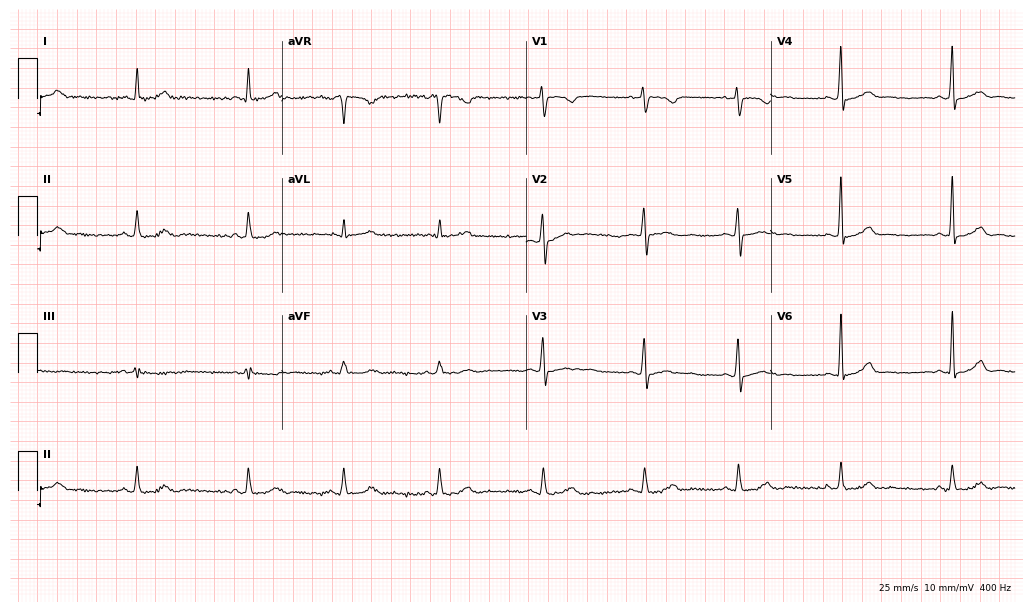
ECG — a 37-year-old woman. Labelled as a normal ECG.